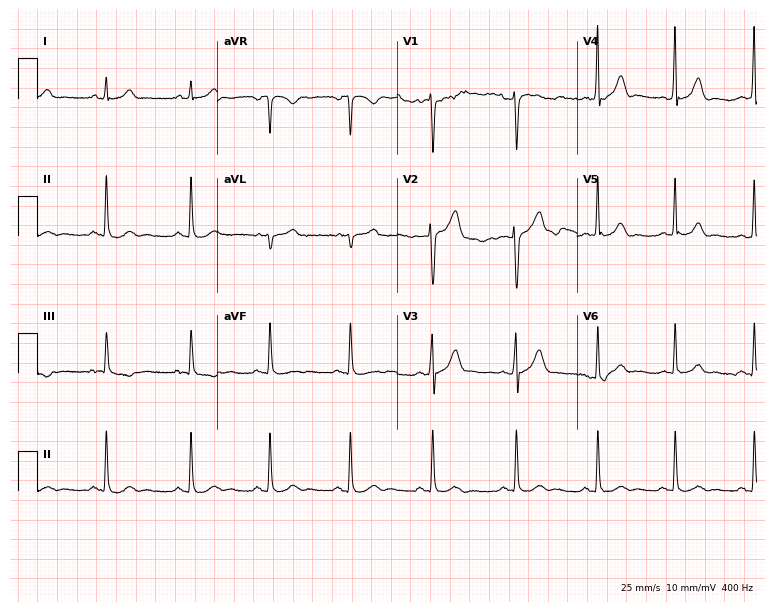
Electrocardiogram, a female patient, 19 years old. Overall reading on record: normal ECG.